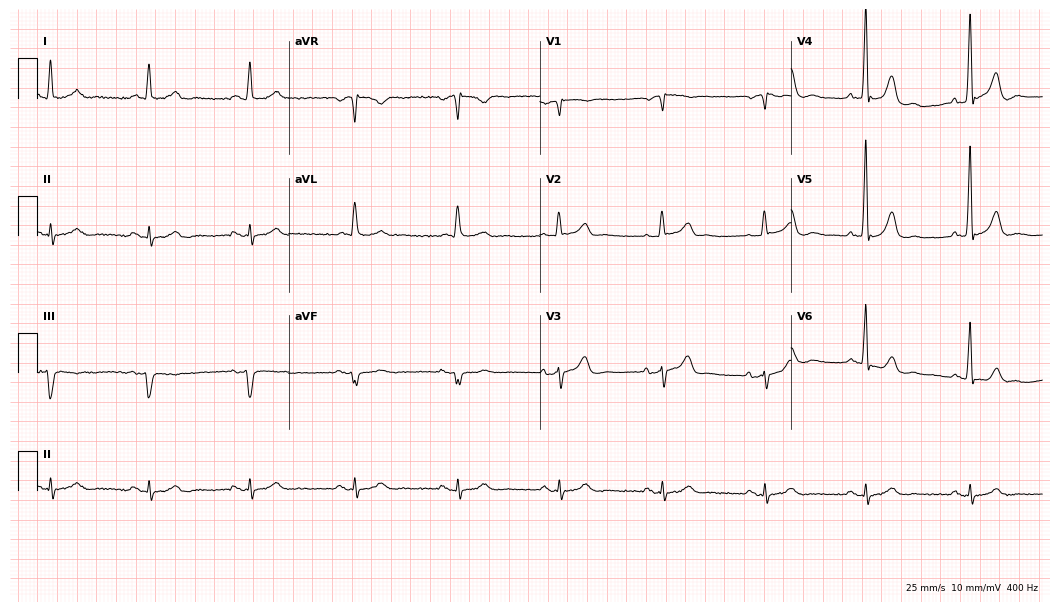
Standard 12-lead ECG recorded from a 75-year-old man. Read as a normal ECG.